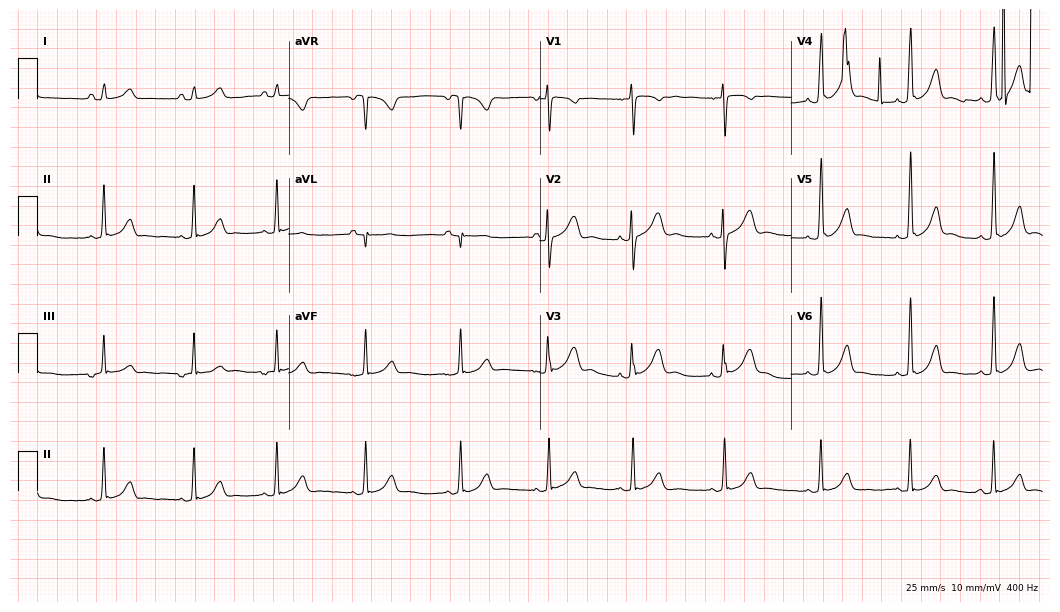
ECG (10.2-second recording at 400 Hz) — a 17-year-old female. Labelled as a normal ECG.